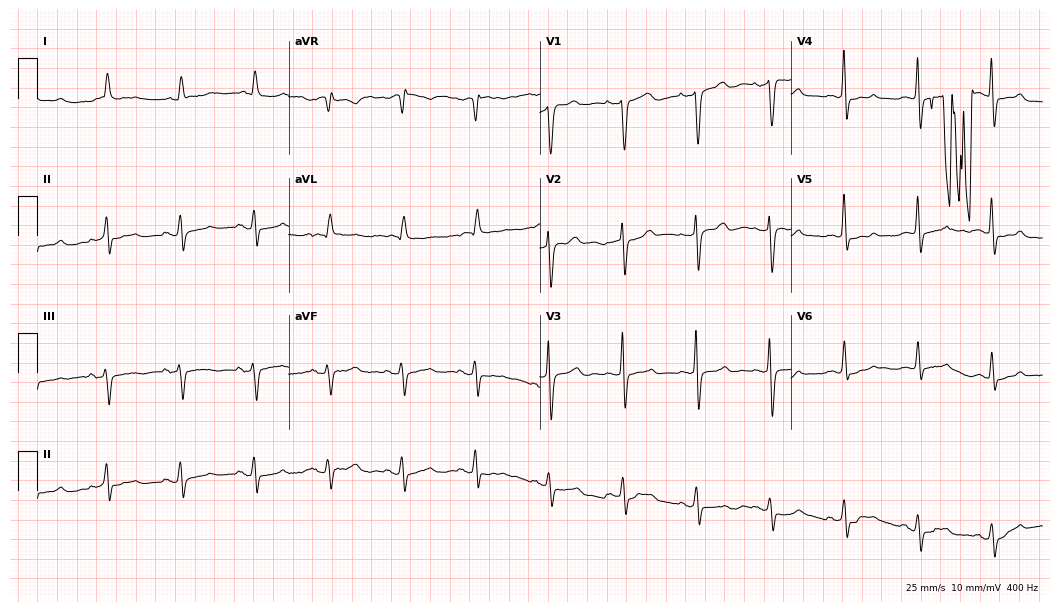
ECG (10.2-second recording at 400 Hz) — an 85-year-old female. Screened for six findings — first-degree AV block, right bundle branch block, left bundle branch block, sinus bradycardia, atrial fibrillation, sinus tachycardia — none is recorded.